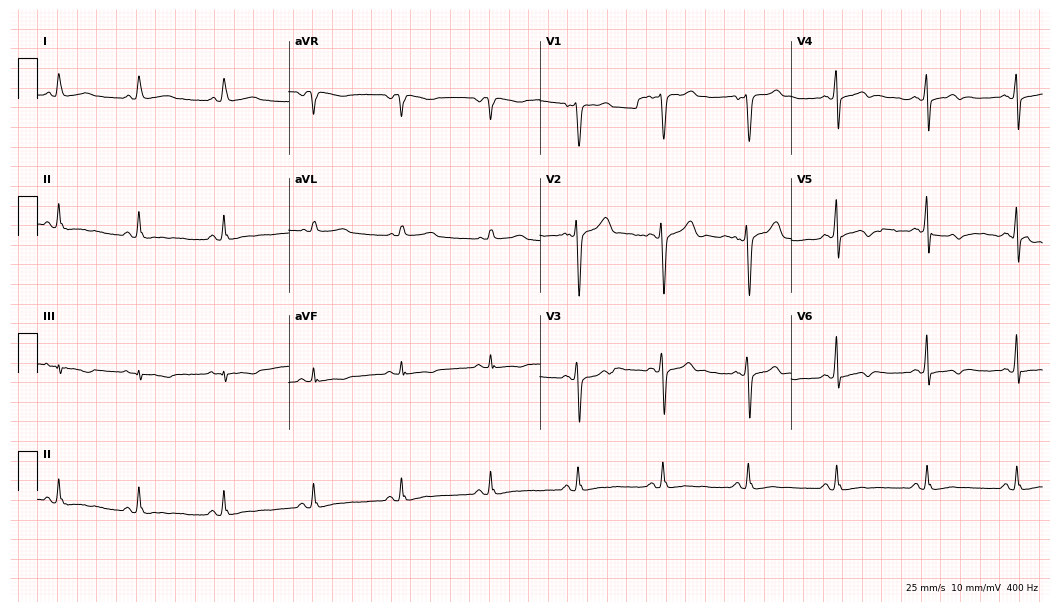
Standard 12-lead ECG recorded from a 45-year-old man (10.2-second recording at 400 Hz). None of these six findings is recorded: first-degree AV block, right bundle branch block, left bundle branch block, sinus bradycardia, atrial fibrillation, sinus tachycardia.